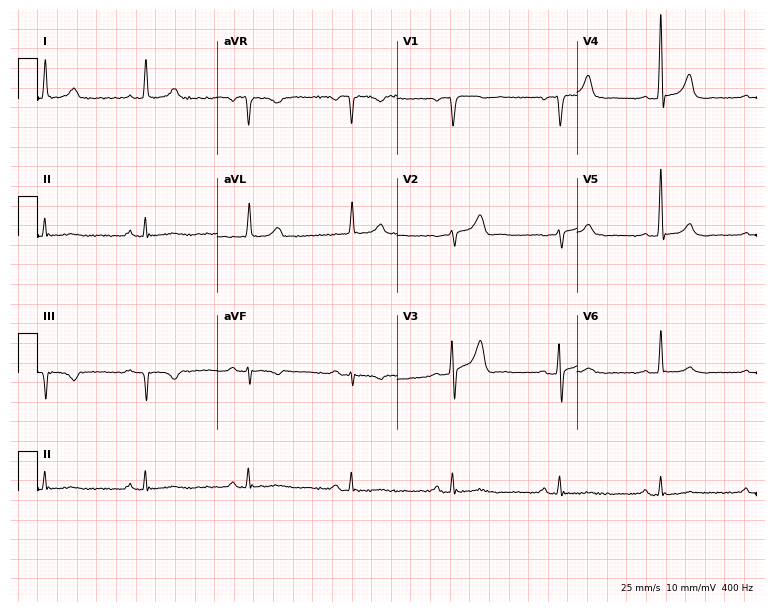
12-lead ECG from a 76-year-old male. Screened for six findings — first-degree AV block, right bundle branch block, left bundle branch block, sinus bradycardia, atrial fibrillation, sinus tachycardia — none is recorded. Other findings, if any, are not listed.